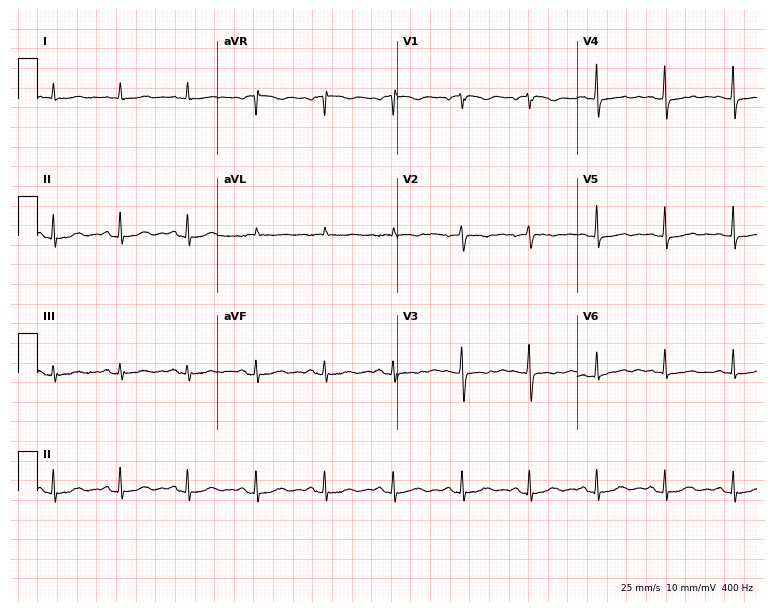
Electrocardiogram, a female, 78 years old. Of the six screened findings (first-degree AV block, right bundle branch block (RBBB), left bundle branch block (LBBB), sinus bradycardia, atrial fibrillation (AF), sinus tachycardia), none is recorded. Other findings, if any, are not listed.